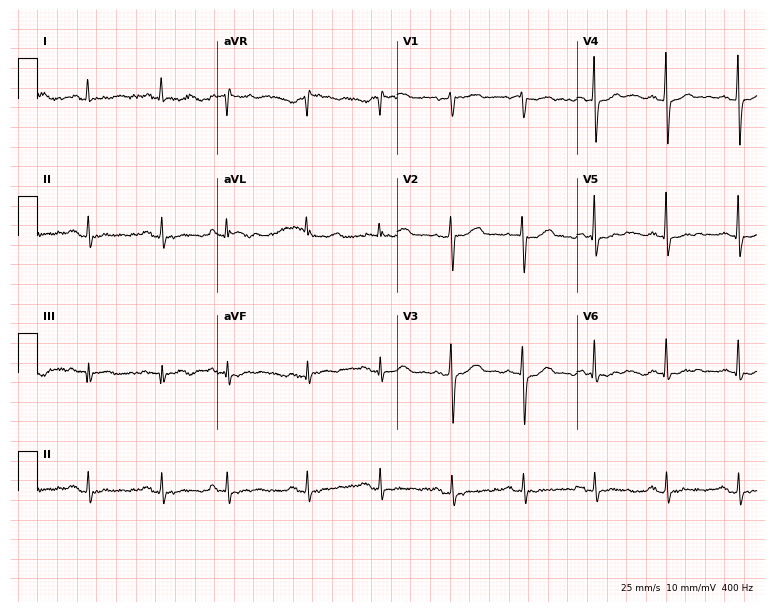
Resting 12-lead electrocardiogram (7.3-second recording at 400 Hz). Patient: a female, 61 years old. None of these six findings is recorded: first-degree AV block, right bundle branch block, left bundle branch block, sinus bradycardia, atrial fibrillation, sinus tachycardia. Other findings, if any, are not listed.